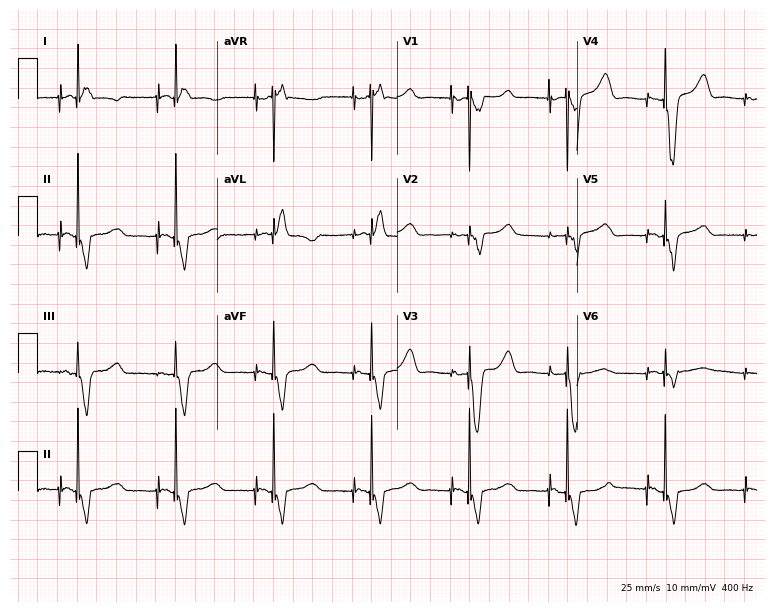
Standard 12-lead ECG recorded from an 80-year-old female. None of these six findings is recorded: first-degree AV block, right bundle branch block (RBBB), left bundle branch block (LBBB), sinus bradycardia, atrial fibrillation (AF), sinus tachycardia. Other findings, if any, are not listed.